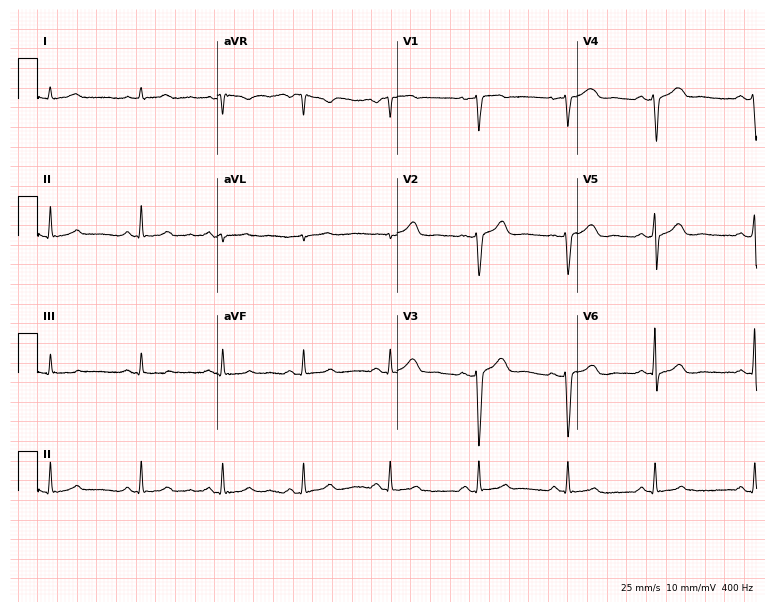
Electrocardiogram, a 44-year-old woman. Of the six screened findings (first-degree AV block, right bundle branch block (RBBB), left bundle branch block (LBBB), sinus bradycardia, atrial fibrillation (AF), sinus tachycardia), none is recorded.